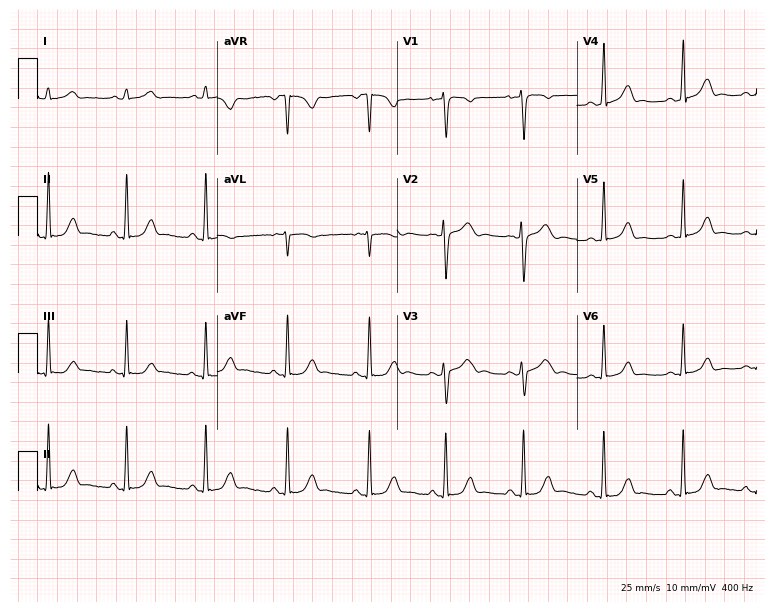
Standard 12-lead ECG recorded from a woman, 21 years old. None of these six findings is recorded: first-degree AV block, right bundle branch block, left bundle branch block, sinus bradycardia, atrial fibrillation, sinus tachycardia. Findings outside these six are not listed.